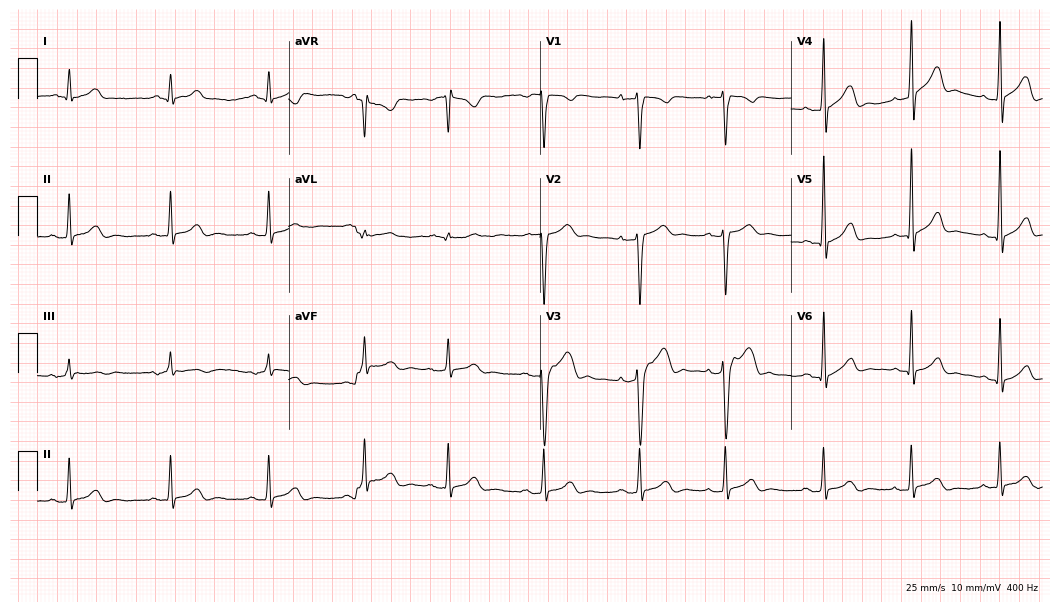
Electrocardiogram, a 35-year-old man. Overall reading on record: normal ECG.